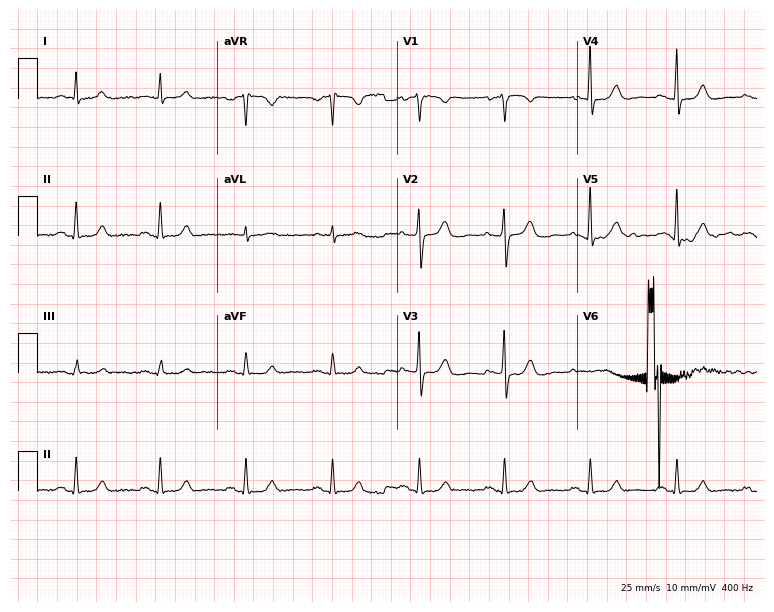
12-lead ECG from a 67-year-old female patient (7.3-second recording at 400 Hz). Recorded interpretation: within normal limits.